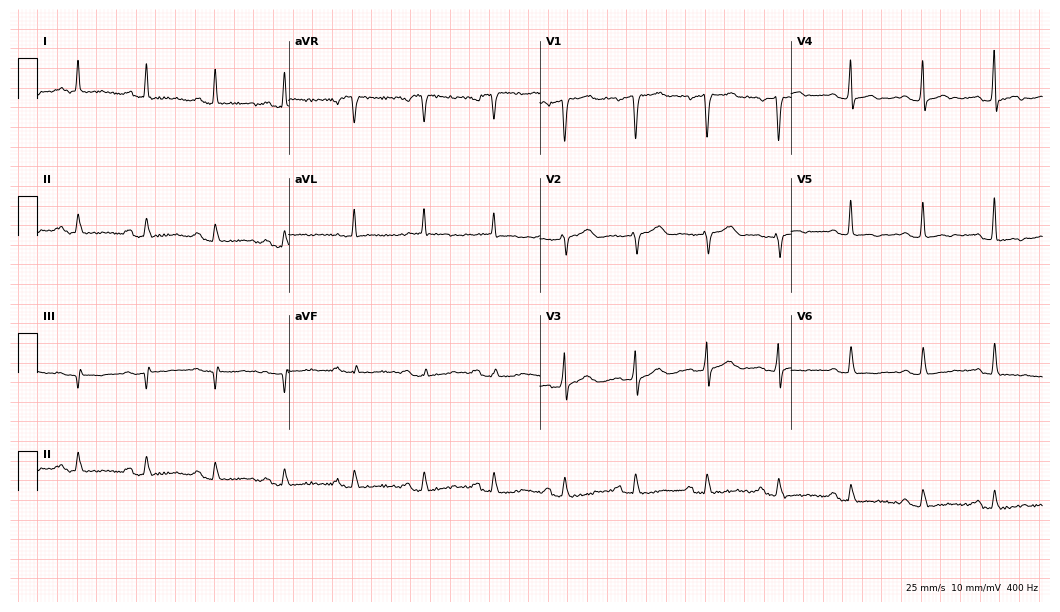
Standard 12-lead ECG recorded from a 78-year-old female (10.2-second recording at 400 Hz). None of these six findings is recorded: first-degree AV block, right bundle branch block, left bundle branch block, sinus bradycardia, atrial fibrillation, sinus tachycardia. Other findings, if any, are not listed.